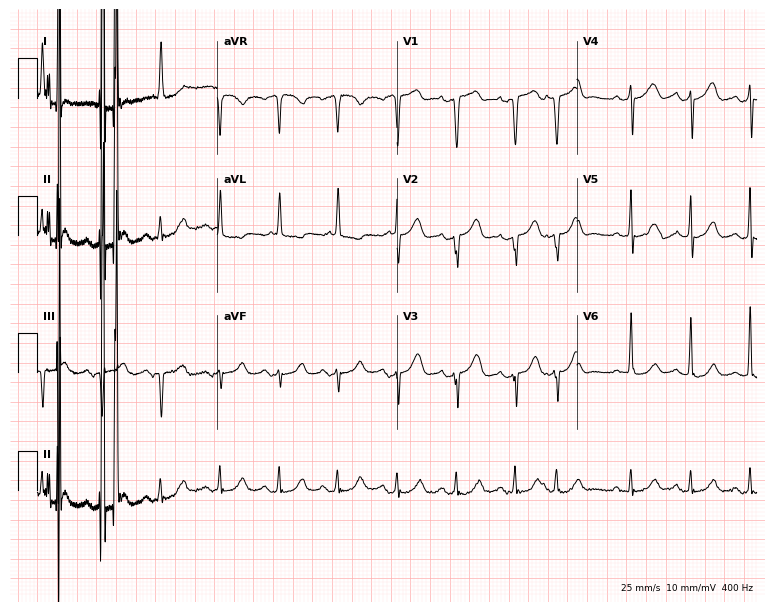
Electrocardiogram, a female, 81 years old. Of the six screened findings (first-degree AV block, right bundle branch block, left bundle branch block, sinus bradycardia, atrial fibrillation, sinus tachycardia), none is recorded. Findings outside these six are not listed.